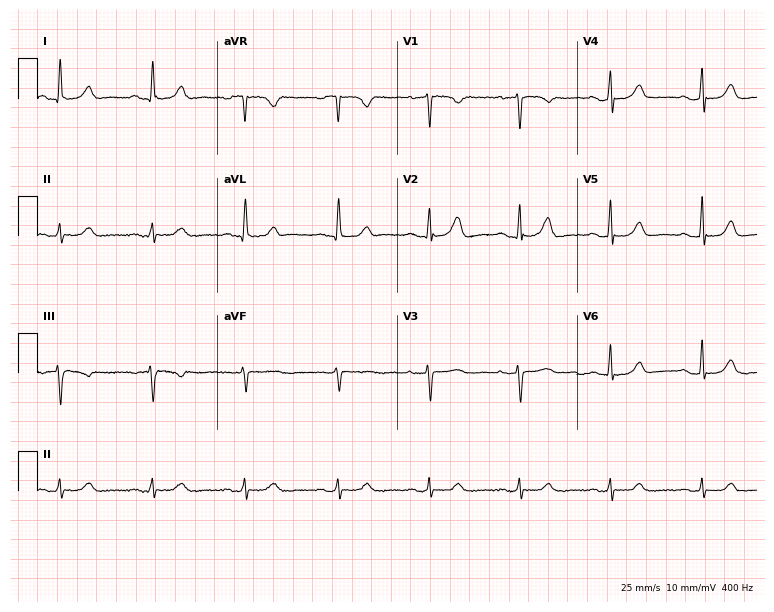
Electrocardiogram (7.3-second recording at 400 Hz), a female, 62 years old. Overall reading on record: normal ECG.